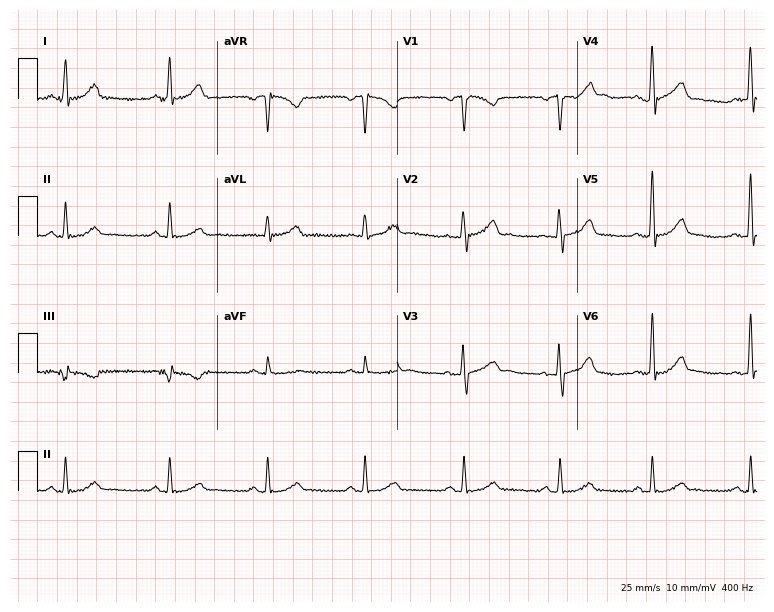
12-lead ECG from a 60-year-old female patient. Labelled as a normal ECG.